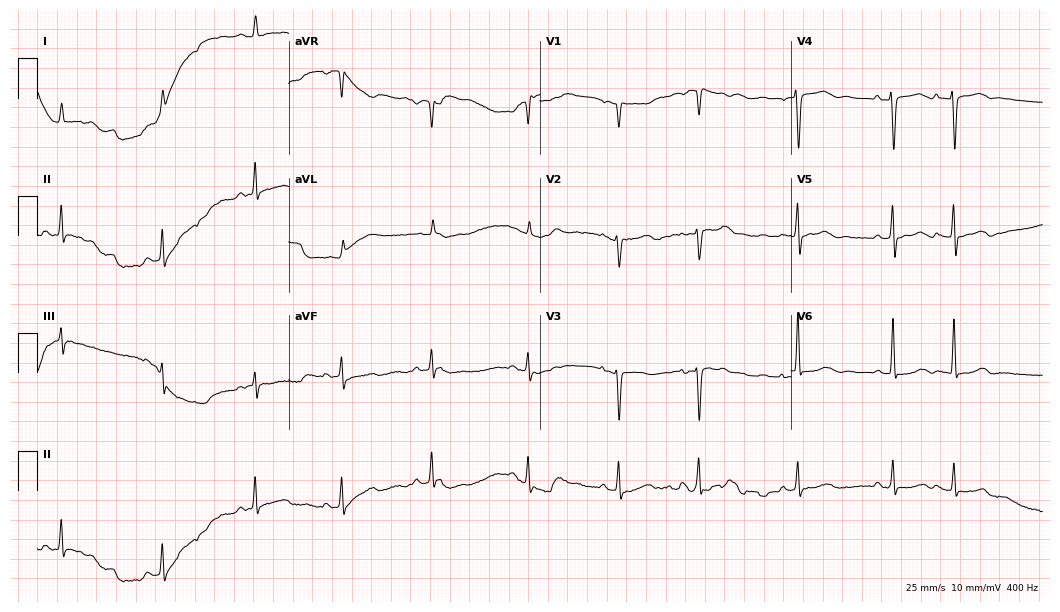
Electrocardiogram, a woman, 79 years old. Of the six screened findings (first-degree AV block, right bundle branch block, left bundle branch block, sinus bradycardia, atrial fibrillation, sinus tachycardia), none is recorded. Findings outside these six are not listed.